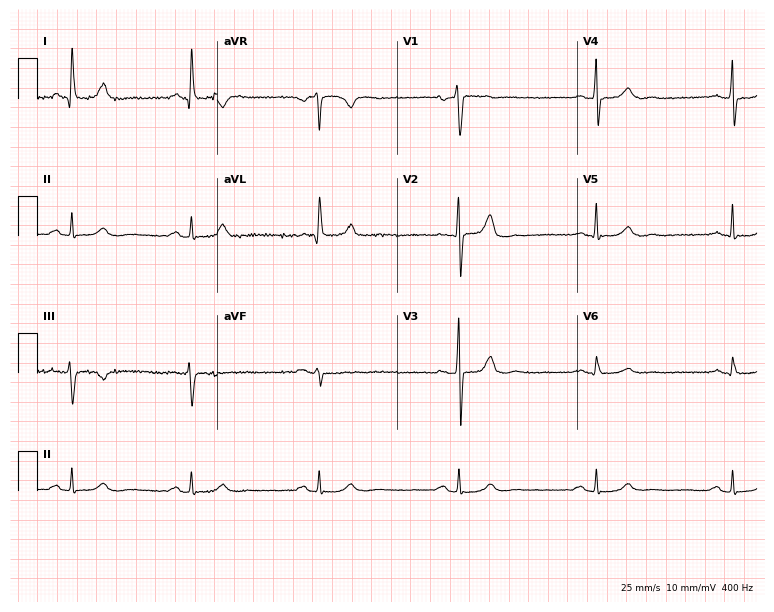
12-lead ECG from a male patient, 46 years old. Shows sinus bradycardia (a sinus rate of 50 beats per minute or less).